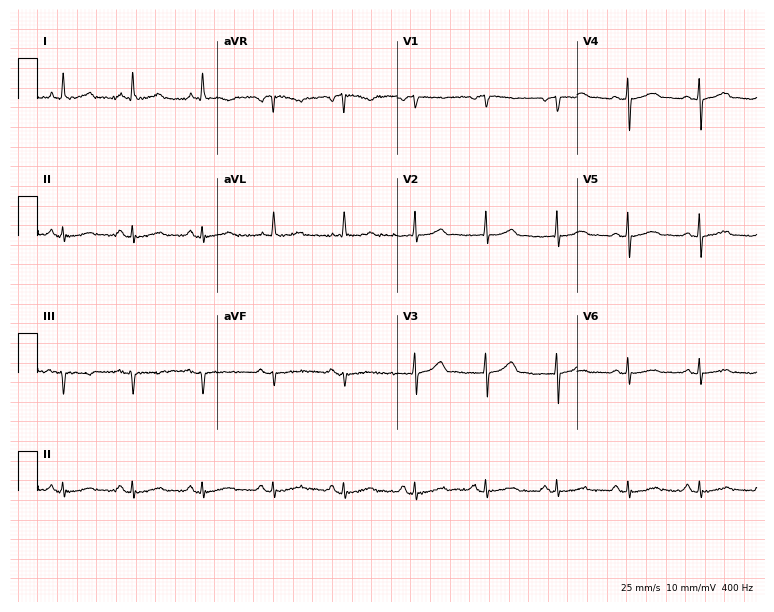
12-lead ECG from a woman, 83 years old (7.3-second recording at 400 Hz). Recorded interpretation: within normal limits.